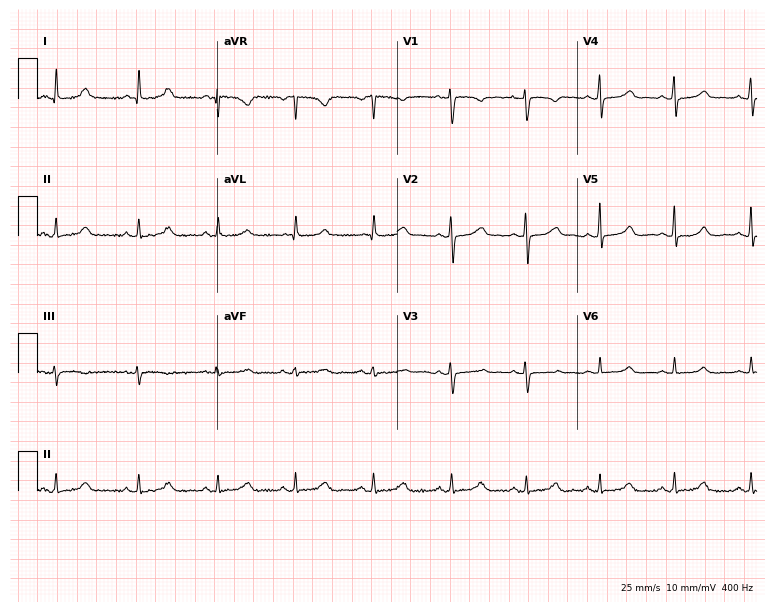
12-lead ECG from a woman, 43 years old. Recorded interpretation: within normal limits.